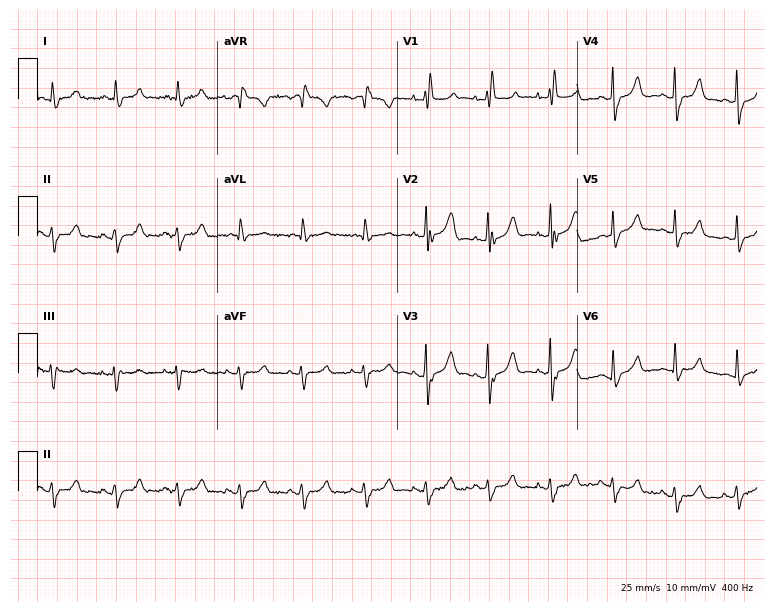
Electrocardiogram, a female, 85 years old. Of the six screened findings (first-degree AV block, right bundle branch block (RBBB), left bundle branch block (LBBB), sinus bradycardia, atrial fibrillation (AF), sinus tachycardia), none is recorded.